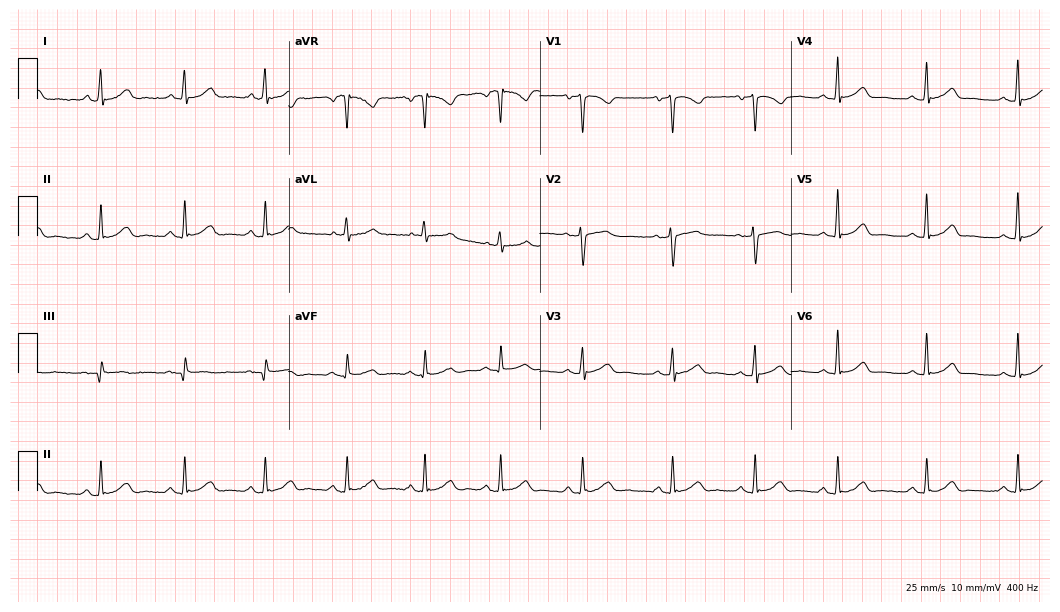
12-lead ECG from a 44-year-old female (10.2-second recording at 400 Hz). Recorded interpretation: within normal limits.